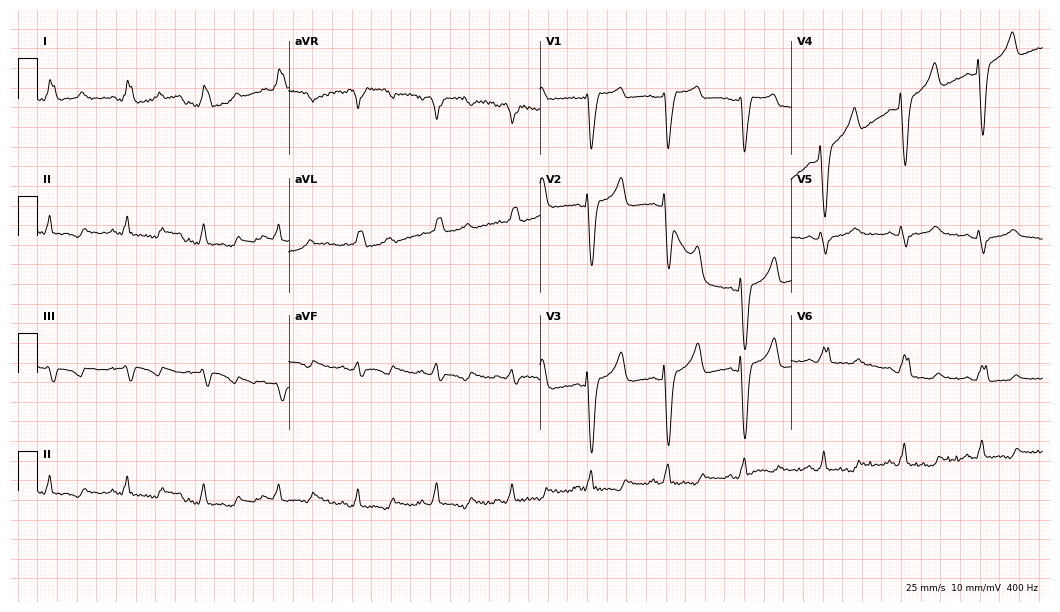
Standard 12-lead ECG recorded from a 74-year-old female. The tracing shows right bundle branch block.